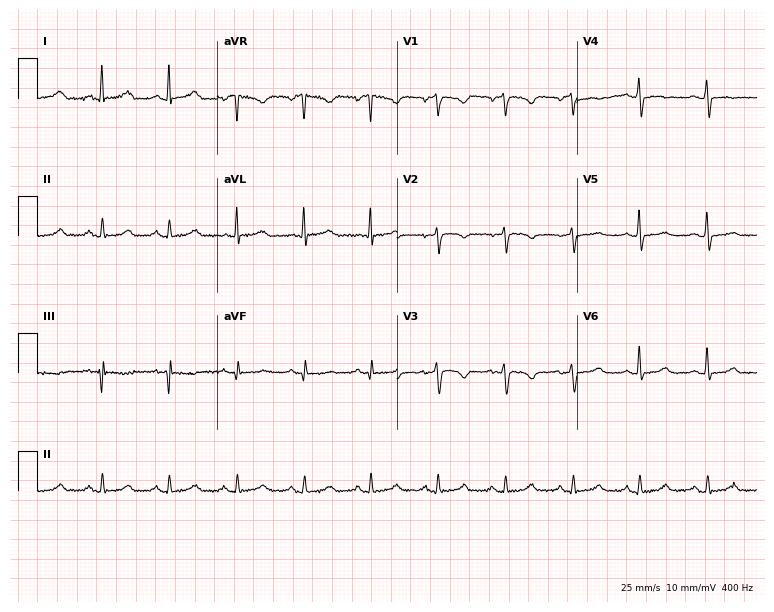
Resting 12-lead electrocardiogram. Patient: a woman, 56 years old. None of these six findings is recorded: first-degree AV block, right bundle branch block, left bundle branch block, sinus bradycardia, atrial fibrillation, sinus tachycardia.